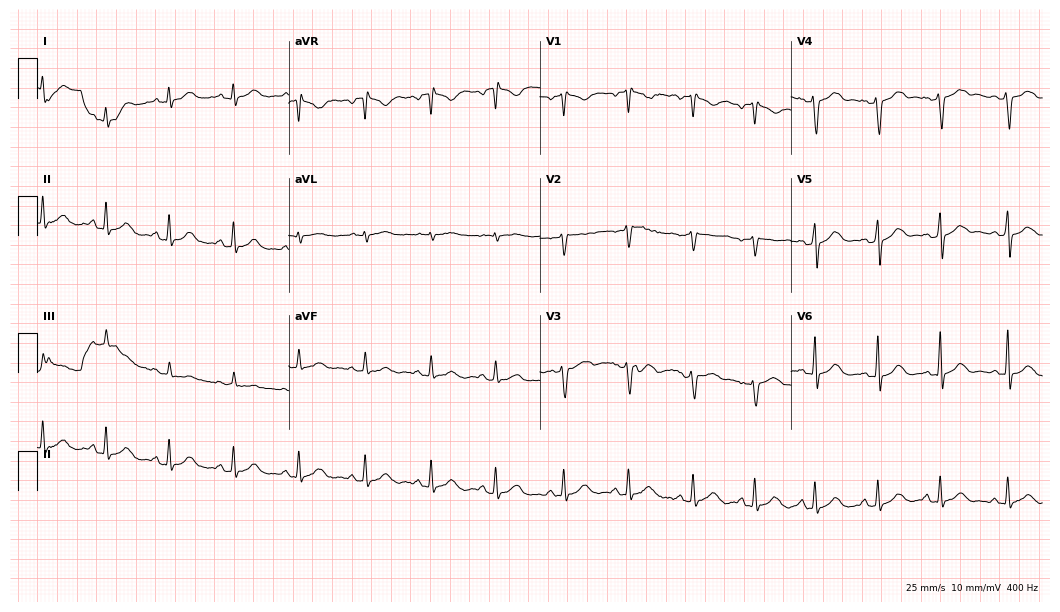
Standard 12-lead ECG recorded from a 34-year-old female patient (10.2-second recording at 400 Hz). None of these six findings is recorded: first-degree AV block, right bundle branch block (RBBB), left bundle branch block (LBBB), sinus bradycardia, atrial fibrillation (AF), sinus tachycardia.